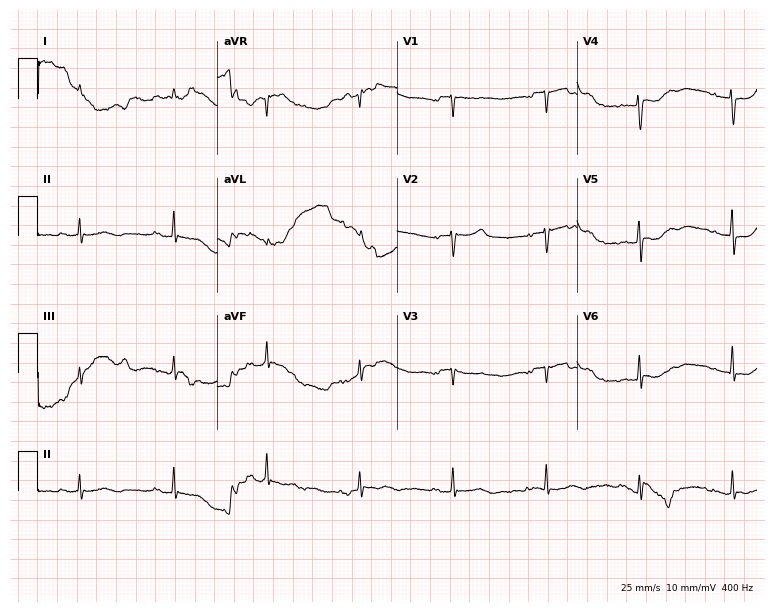
Standard 12-lead ECG recorded from a man, 85 years old (7.3-second recording at 400 Hz). None of these six findings is recorded: first-degree AV block, right bundle branch block, left bundle branch block, sinus bradycardia, atrial fibrillation, sinus tachycardia. Only these six findings were labelled.